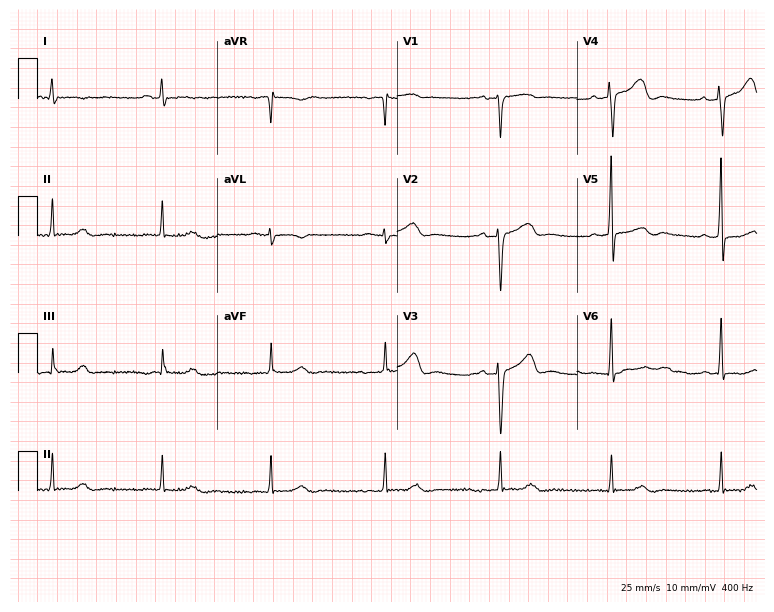
Electrocardiogram (7.3-second recording at 400 Hz), a 65-year-old female patient. Overall reading on record: normal ECG.